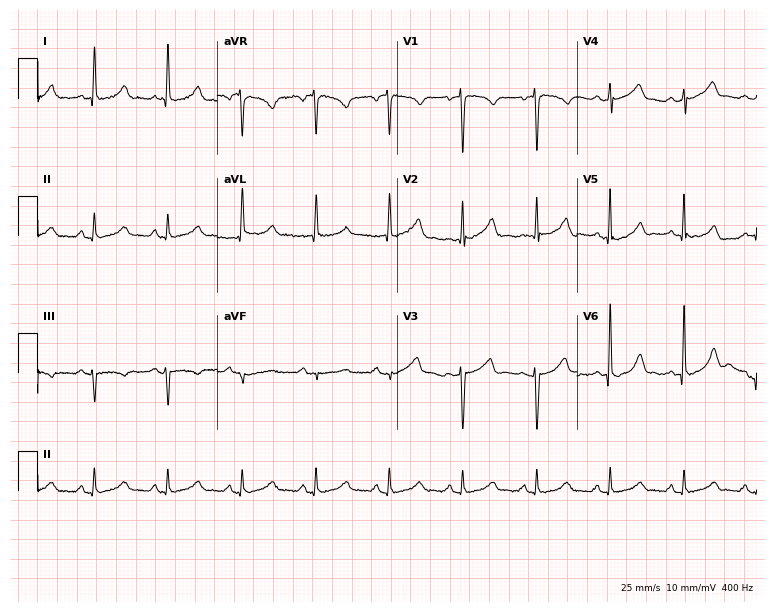
12-lead ECG from a 49-year-old female patient (7.3-second recording at 400 Hz). No first-degree AV block, right bundle branch block, left bundle branch block, sinus bradycardia, atrial fibrillation or sinus tachycardia recorded for this tracing. Other findings, if any, are not listed.